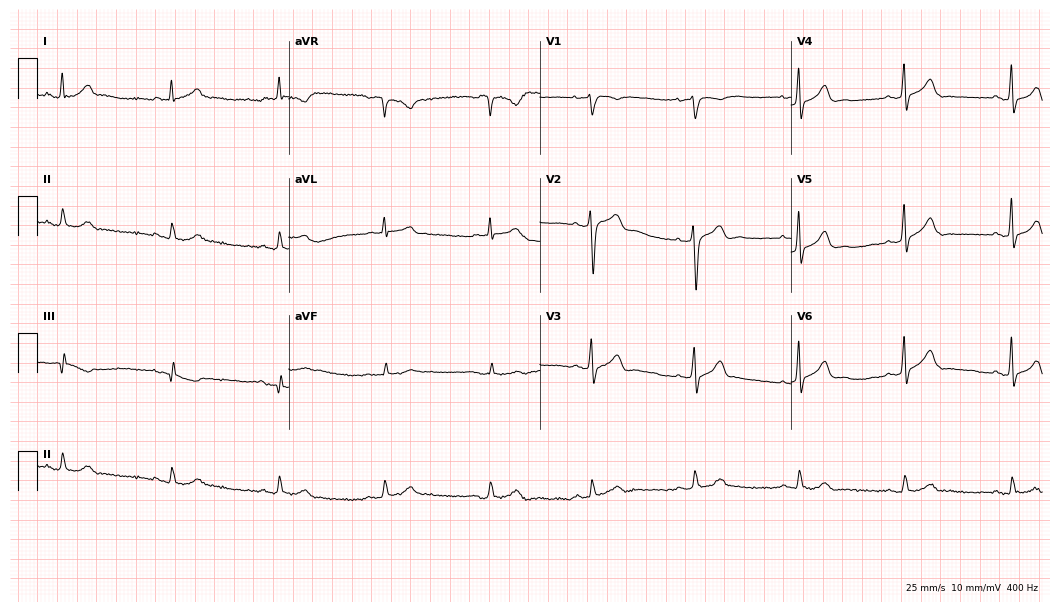
Resting 12-lead electrocardiogram (10.2-second recording at 400 Hz). Patient: a male, 58 years old. Read as a normal ECG.